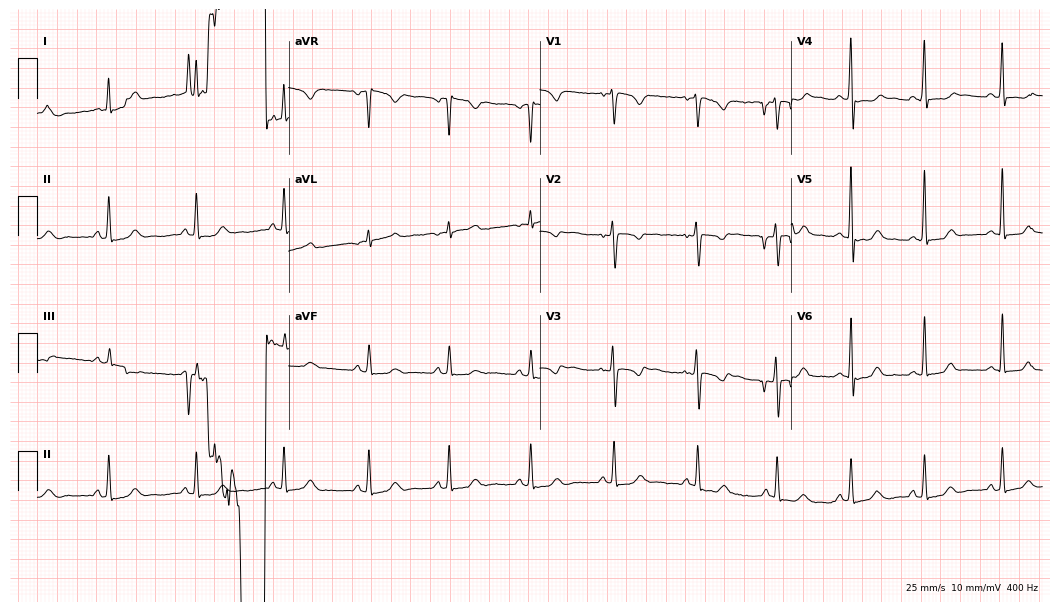
Resting 12-lead electrocardiogram. Patient: a 34-year-old woman. None of these six findings is recorded: first-degree AV block, right bundle branch block, left bundle branch block, sinus bradycardia, atrial fibrillation, sinus tachycardia.